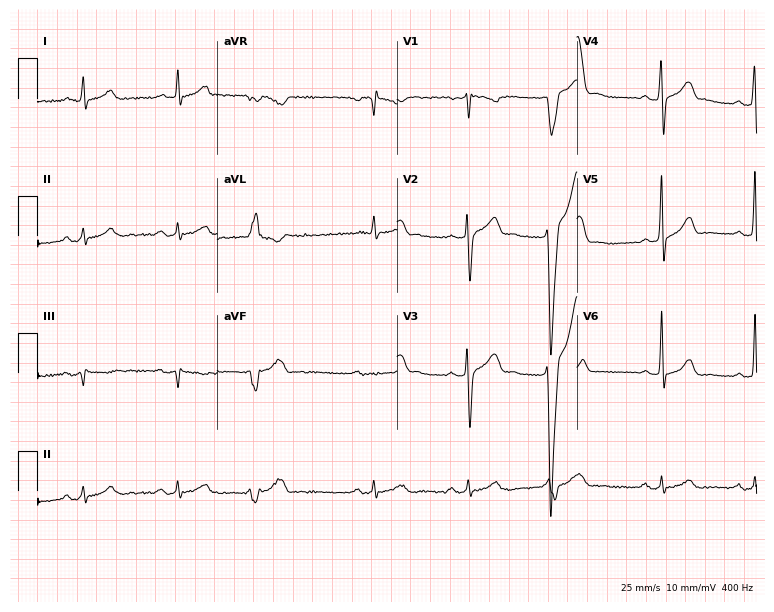
12-lead ECG from a 55-year-old male (7.3-second recording at 400 Hz). No first-degree AV block, right bundle branch block (RBBB), left bundle branch block (LBBB), sinus bradycardia, atrial fibrillation (AF) or sinus tachycardia recorded for this tracing.